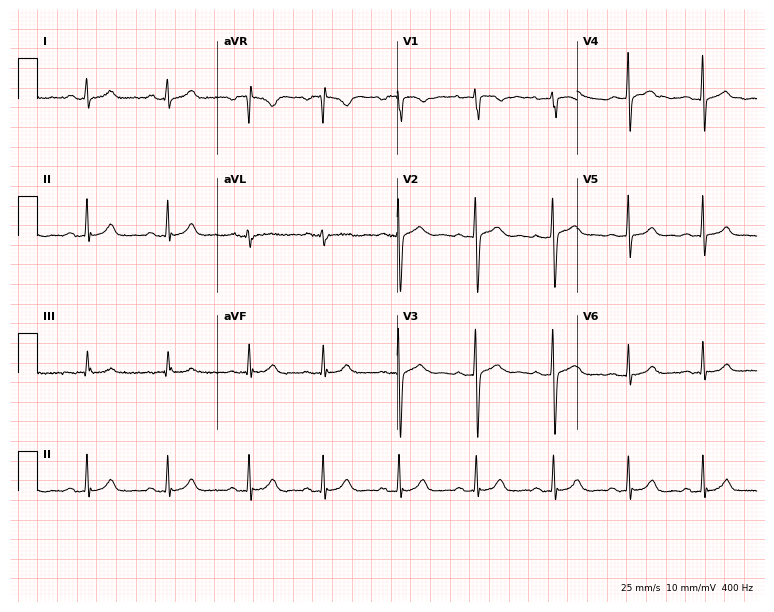
Standard 12-lead ECG recorded from a woman, 18 years old (7.3-second recording at 400 Hz). None of these six findings is recorded: first-degree AV block, right bundle branch block, left bundle branch block, sinus bradycardia, atrial fibrillation, sinus tachycardia. Only these six findings were labelled.